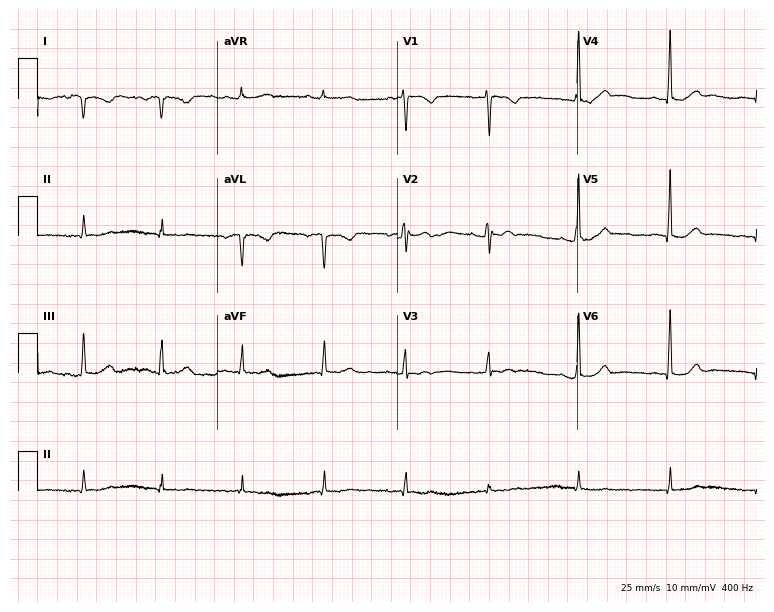
12-lead ECG from a female patient, 41 years old. Screened for six findings — first-degree AV block, right bundle branch block, left bundle branch block, sinus bradycardia, atrial fibrillation, sinus tachycardia — none is recorded.